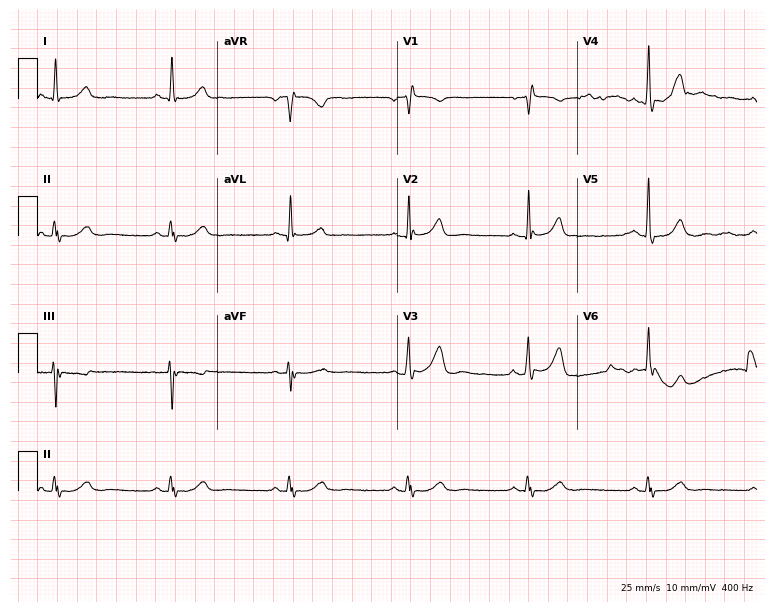
Resting 12-lead electrocardiogram (7.3-second recording at 400 Hz). Patient: a man, 78 years old. None of these six findings is recorded: first-degree AV block, right bundle branch block (RBBB), left bundle branch block (LBBB), sinus bradycardia, atrial fibrillation (AF), sinus tachycardia. Only these six findings were labelled.